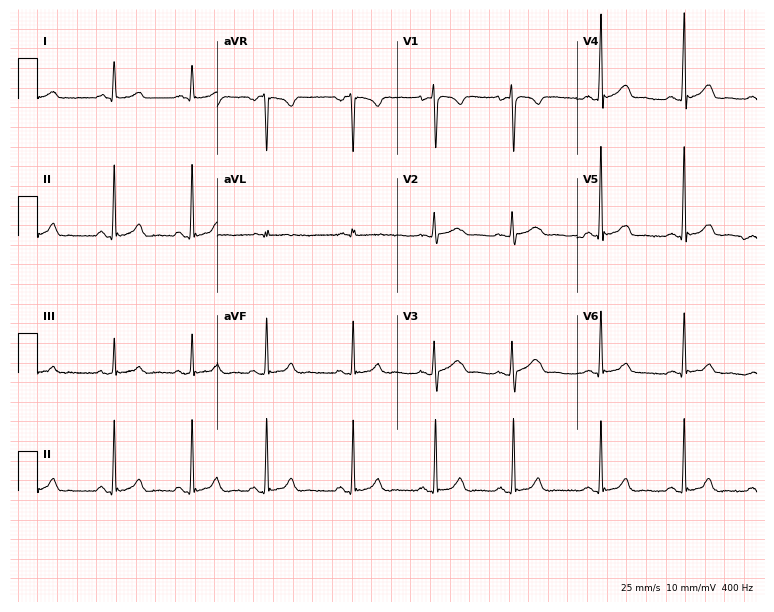
Standard 12-lead ECG recorded from a 19-year-old female patient (7.3-second recording at 400 Hz). Read as a normal ECG.